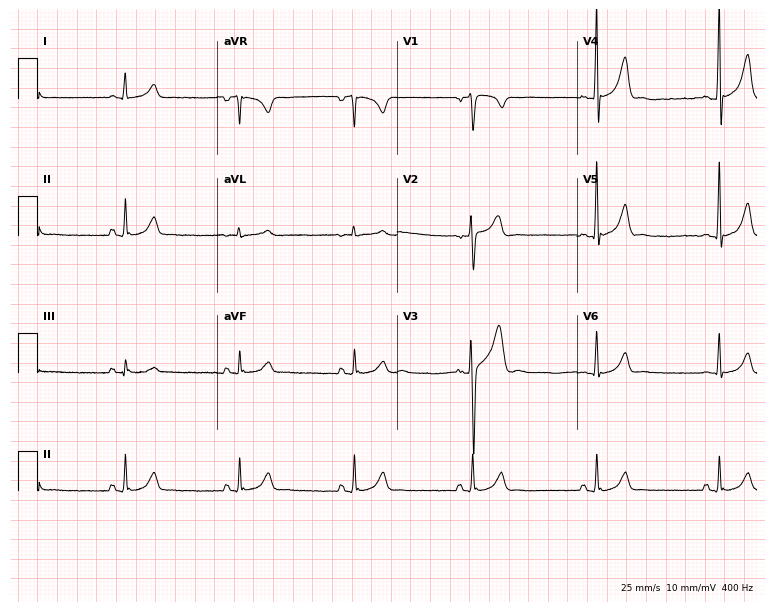
12-lead ECG from a male patient, 21 years old. Findings include sinus bradycardia (a sinus rate of 50 beats per minute or less).